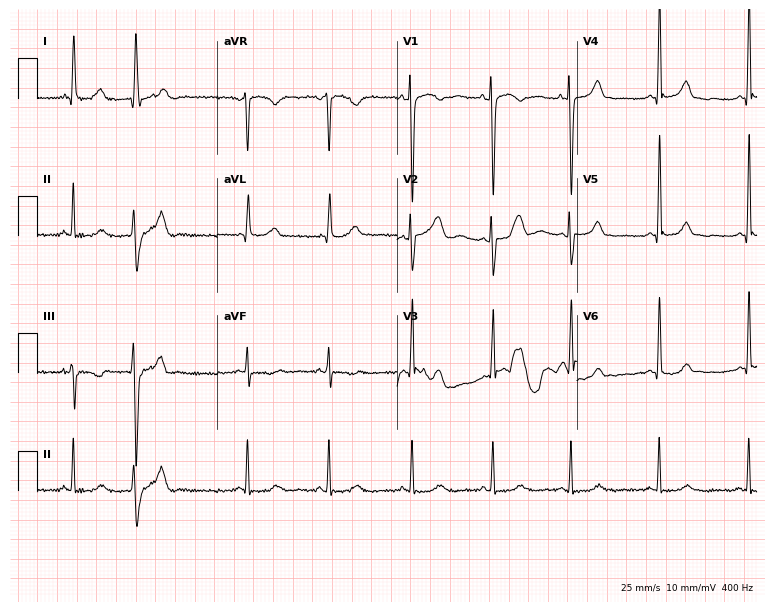
Electrocardiogram, a 34-year-old woman. Overall reading on record: normal ECG.